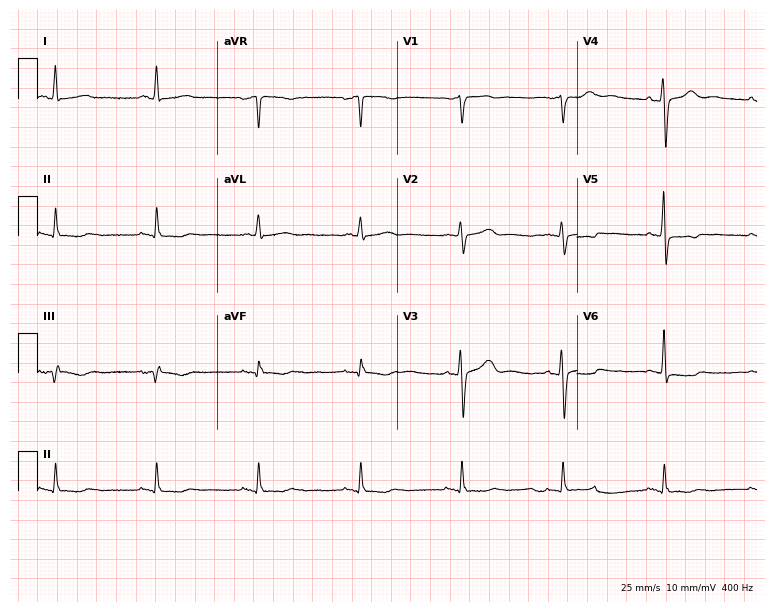
ECG — a 70-year-old female. Screened for six findings — first-degree AV block, right bundle branch block, left bundle branch block, sinus bradycardia, atrial fibrillation, sinus tachycardia — none is recorded. Findings outside these six are not listed.